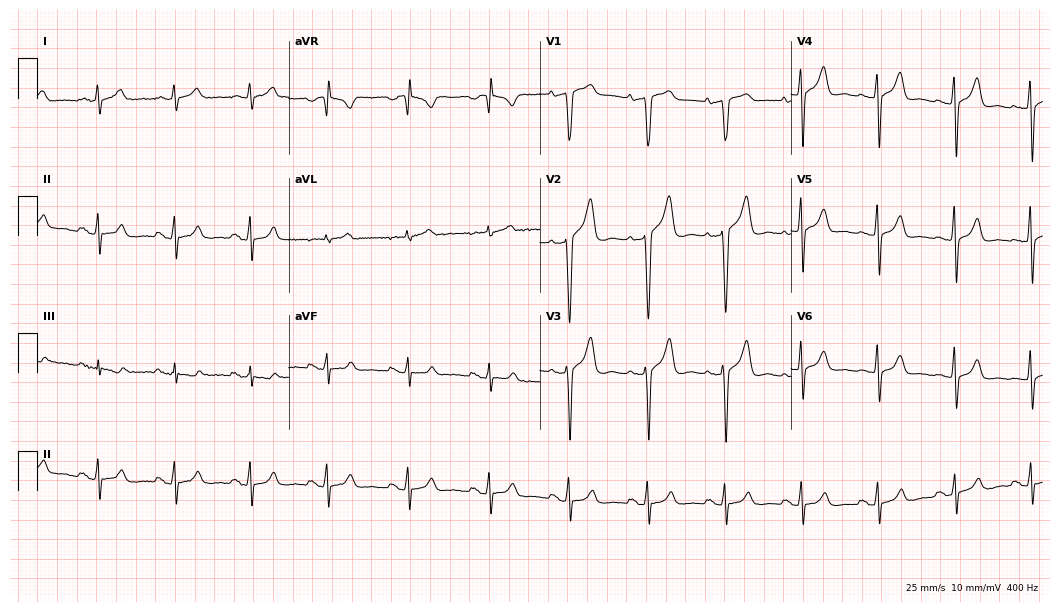
Electrocardiogram (10.2-second recording at 400 Hz), a man, 45 years old. Of the six screened findings (first-degree AV block, right bundle branch block (RBBB), left bundle branch block (LBBB), sinus bradycardia, atrial fibrillation (AF), sinus tachycardia), none is recorded. Only these six findings were labelled.